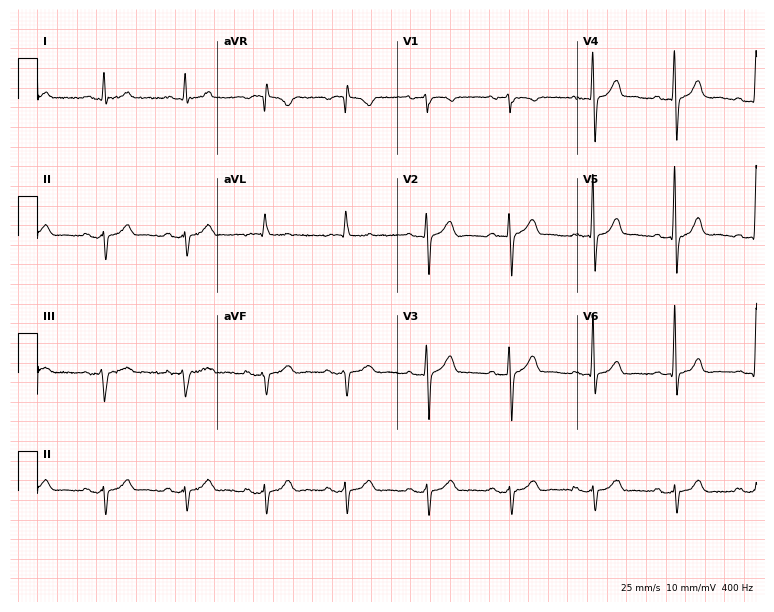
Electrocardiogram, a man, 72 years old. Of the six screened findings (first-degree AV block, right bundle branch block, left bundle branch block, sinus bradycardia, atrial fibrillation, sinus tachycardia), none is recorded.